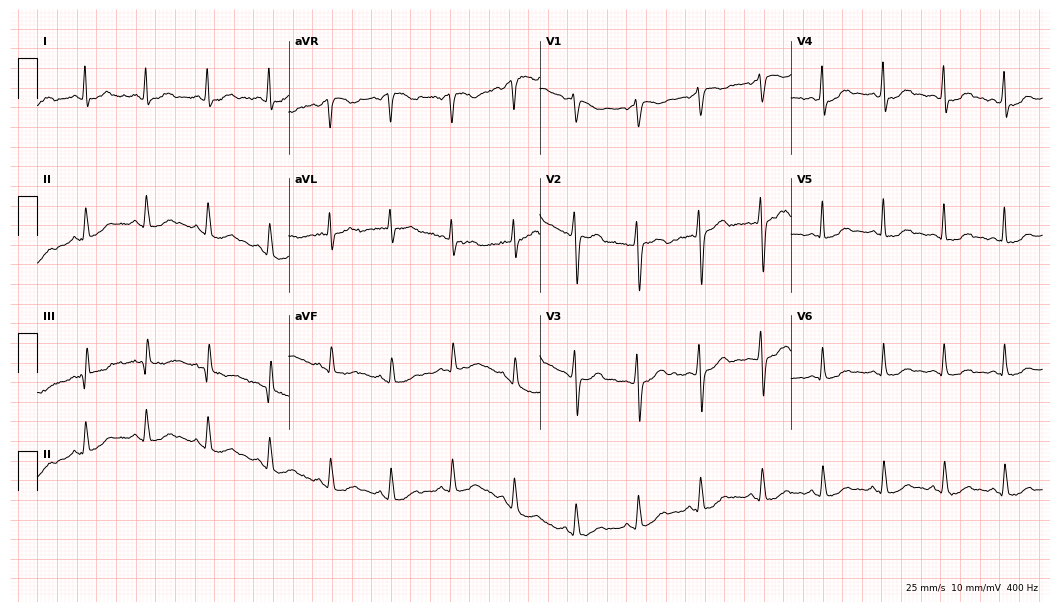
12-lead ECG from a 38-year-old female patient (10.2-second recording at 400 Hz). No first-degree AV block, right bundle branch block (RBBB), left bundle branch block (LBBB), sinus bradycardia, atrial fibrillation (AF) or sinus tachycardia recorded for this tracing. Other findings, if any, are not listed.